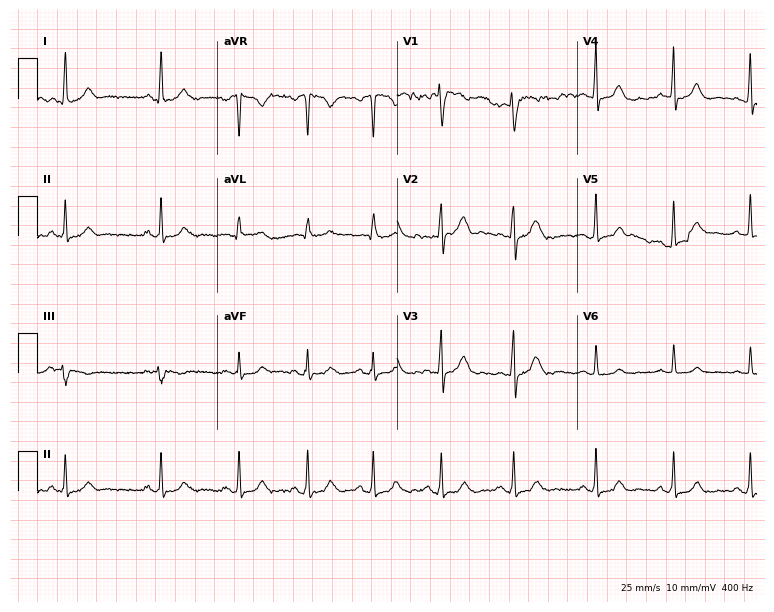
Electrocardiogram, a woman, 43 years old. Of the six screened findings (first-degree AV block, right bundle branch block (RBBB), left bundle branch block (LBBB), sinus bradycardia, atrial fibrillation (AF), sinus tachycardia), none is recorded. Other findings, if any, are not listed.